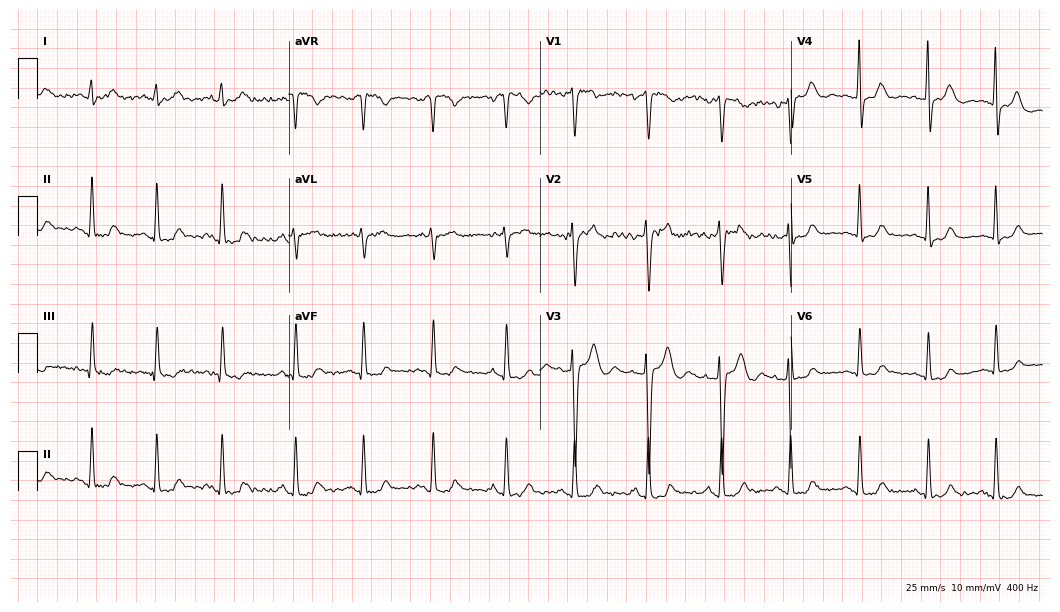
12-lead ECG from a 33-year-old woman (10.2-second recording at 400 Hz). Recorded interpretation: within normal limits.